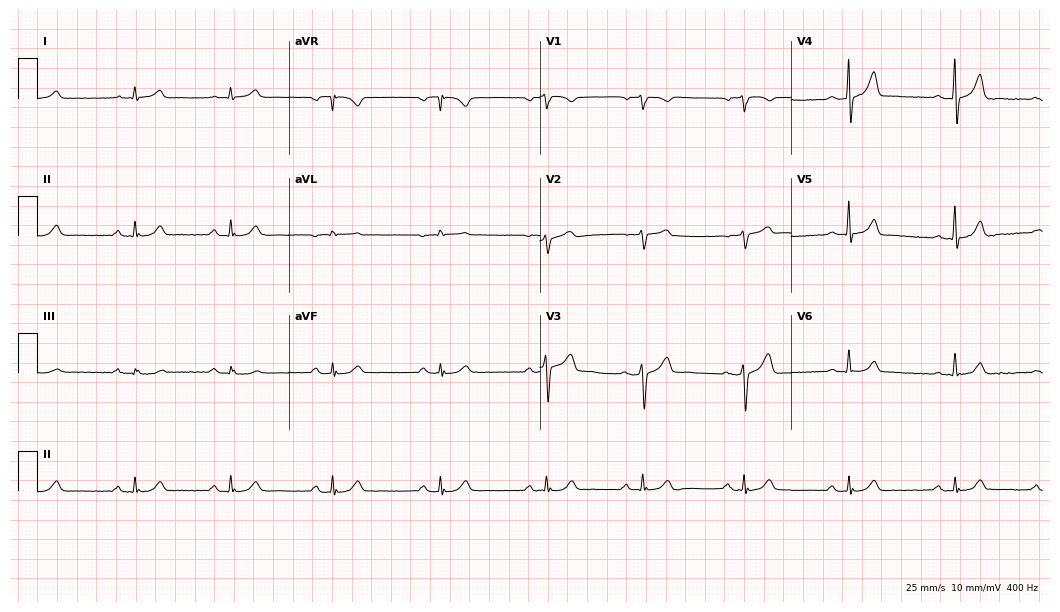
12-lead ECG from a 72-year-old man. Screened for six findings — first-degree AV block, right bundle branch block, left bundle branch block, sinus bradycardia, atrial fibrillation, sinus tachycardia — none is recorded.